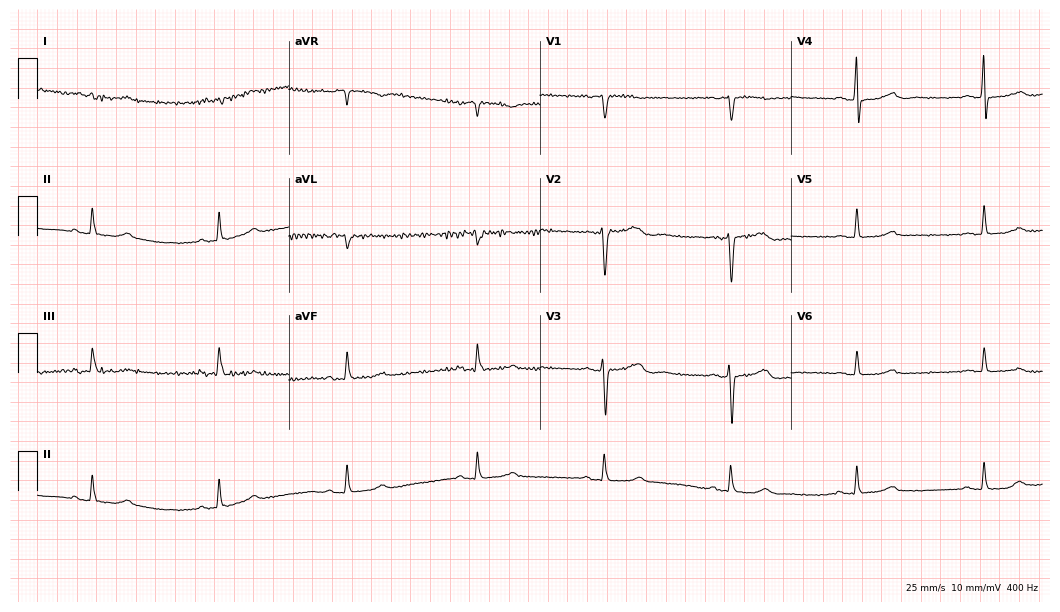
ECG (10.2-second recording at 400 Hz) — a 73-year-old woman. Findings include sinus bradycardia (a sinus rate of 50 beats per minute or less).